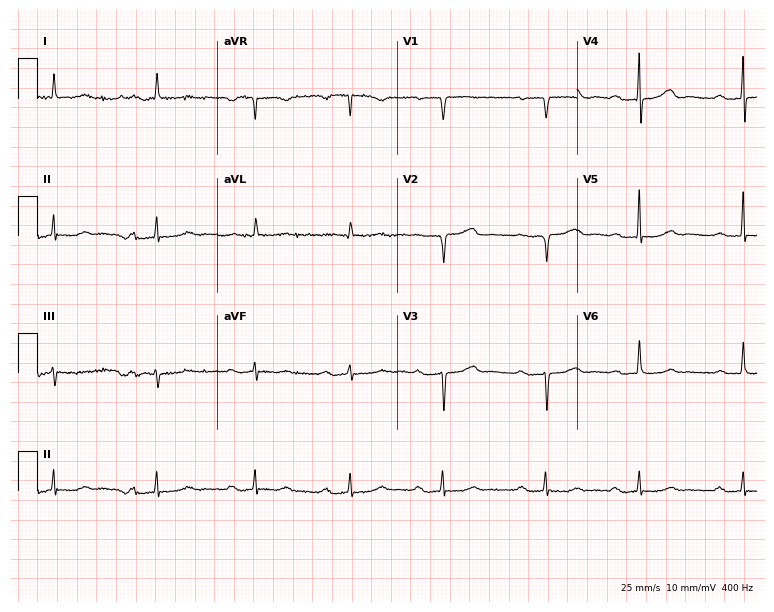
Resting 12-lead electrocardiogram (7.3-second recording at 400 Hz). Patient: a woman, 84 years old. The tracing shows first-degree AV block.